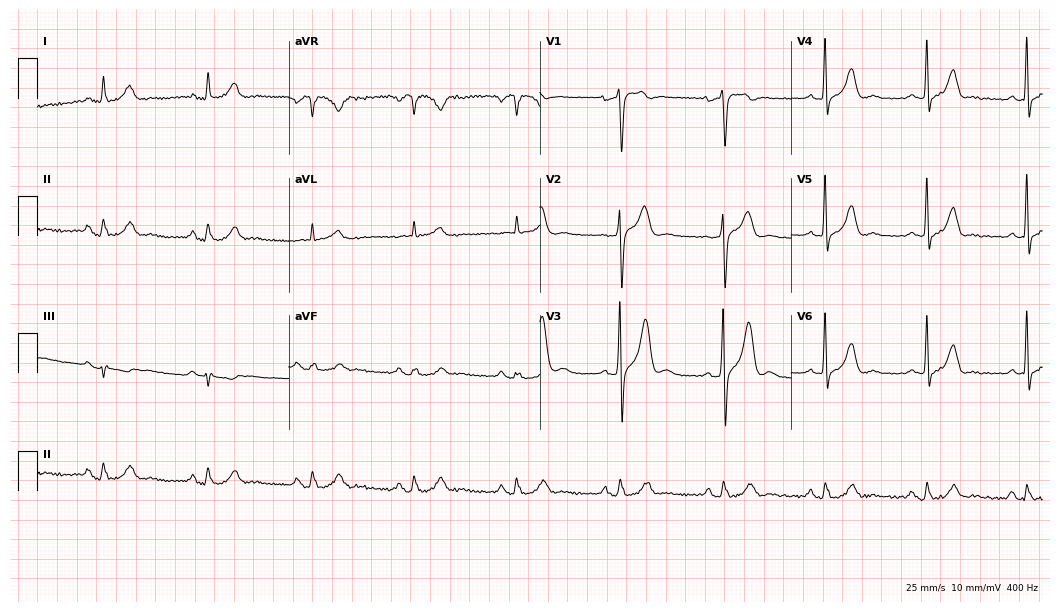
12-lead ECG (10.2-second recording at 400 Hz) from a 72-year-old male patient. Screened for six findings — first-degree AV block, right bundle branch block, left bundle branch block, sinus bradycardia, atrial fibrillation, sinus tachycardia — none is recorded. Findings outside these six are not listed.